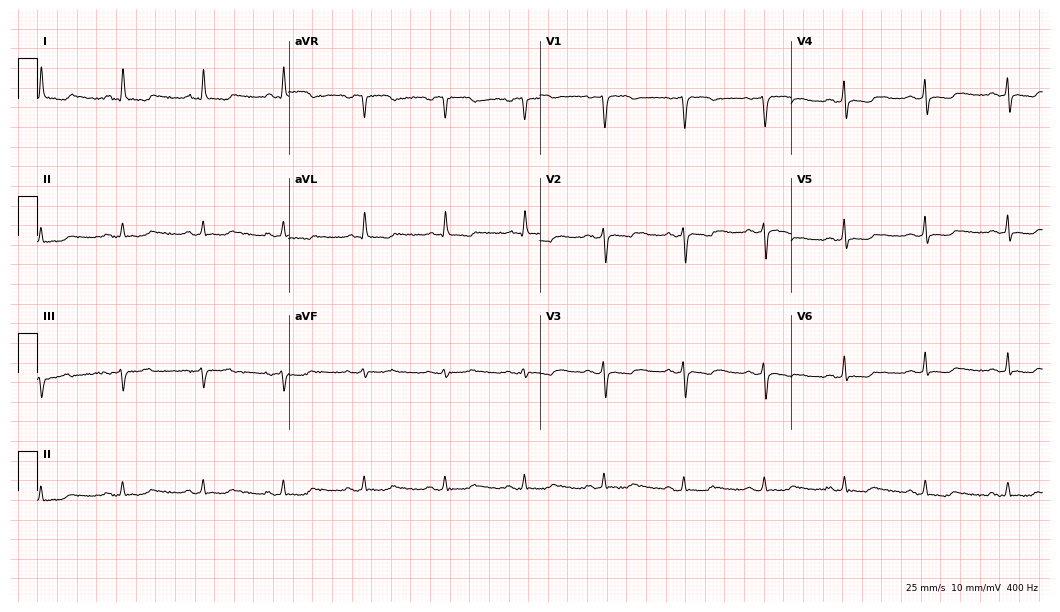
ECG (10.2-second recording at 400 Hz) — a 59-year-old female. Screened for six findings — first-degree AV block, right bundle branch block (RBBB), left bundle branch block (LBBB), sinus bradycardia, atrial fibrillation (AF), sinus tachycardia — none is recorded. Findings outside these six are not listed.